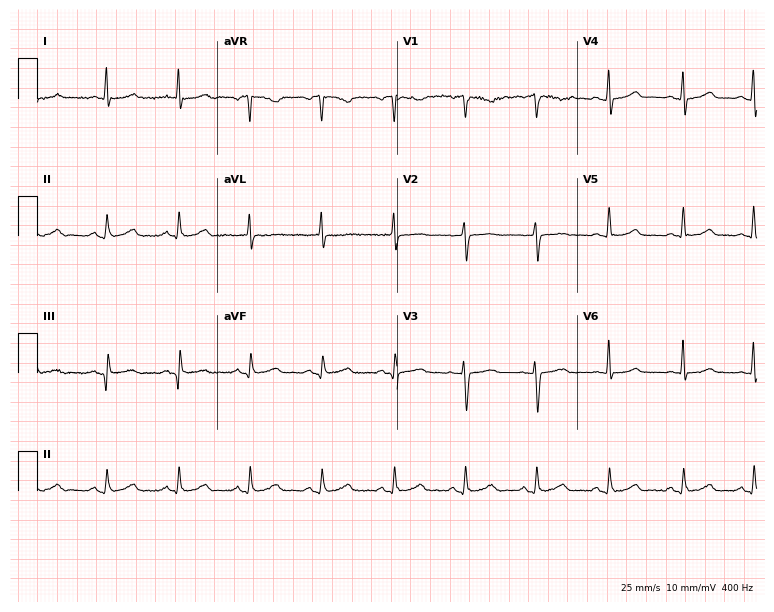
ECG (7.3-second recording at 400 Hz) — a 51-year-old woman. Labelled as a normal ECG.